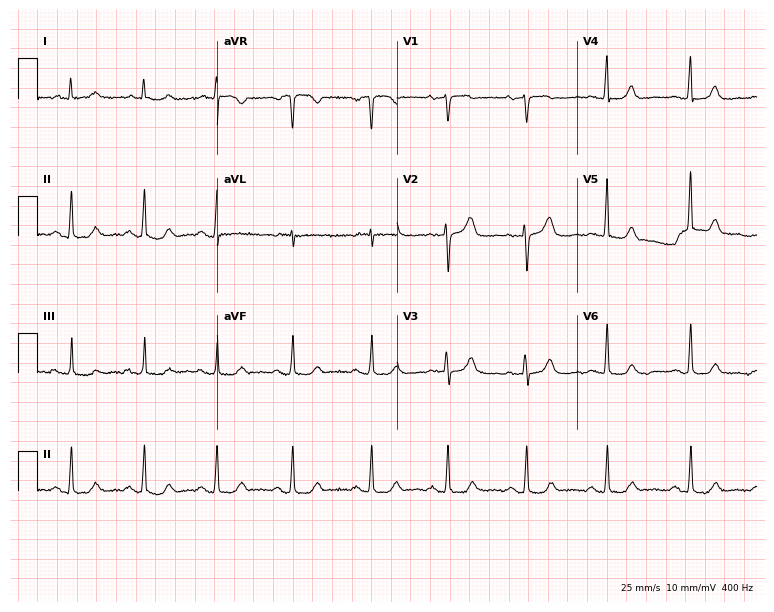
Resting 12-lead electrocardiogram (7.3-second recording at 400 Hz). Patient: a female, 68 years old. None of these six findings is recorded: first-degree AV block, right bundle branch block (RBBB), left bundle branch block (LBBB), sinus bradycardia, atrial fibrillation (AF), sinus tachycardia. Other findings, if any, are not listed.